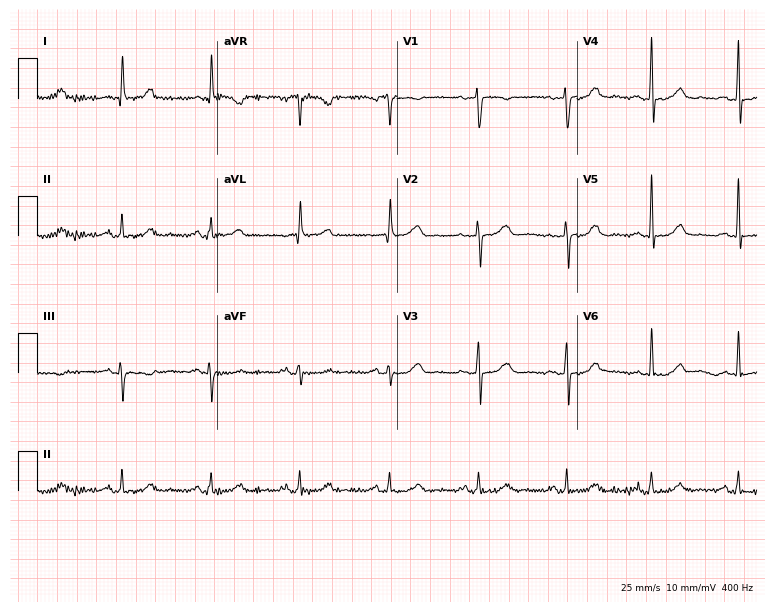
12-lead ECG from a woman, 67 years old (7.3-second recording at 400 Hz). Recorded interpretation: within normal limits.